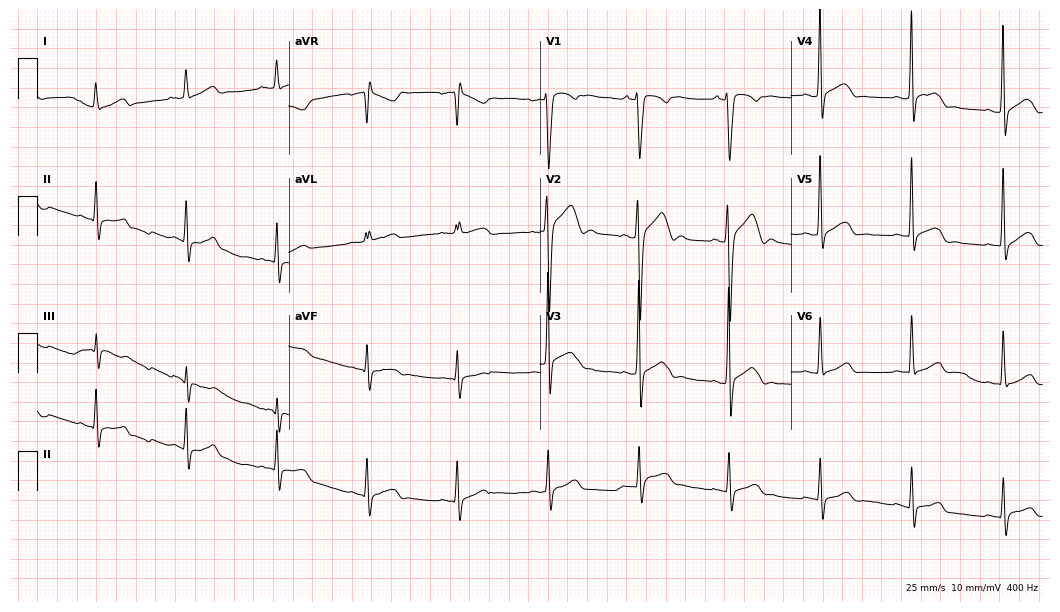
12-lead ECG from a 25-year-old man. Recorded interpretation: within normal limits.